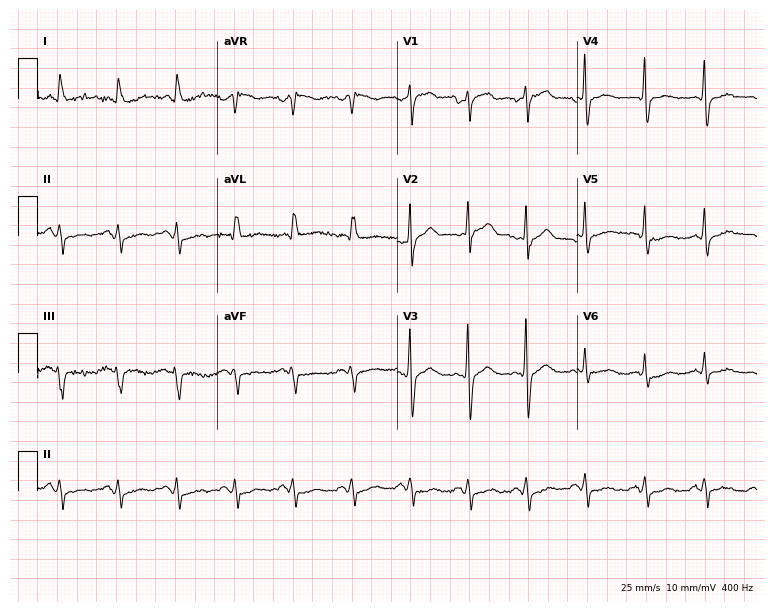
Standard 12-lead ECG recorded from a woman, 62 years old. The tracing shows sinus tachycardia (a sinus rate of 100 beats per minute or more).